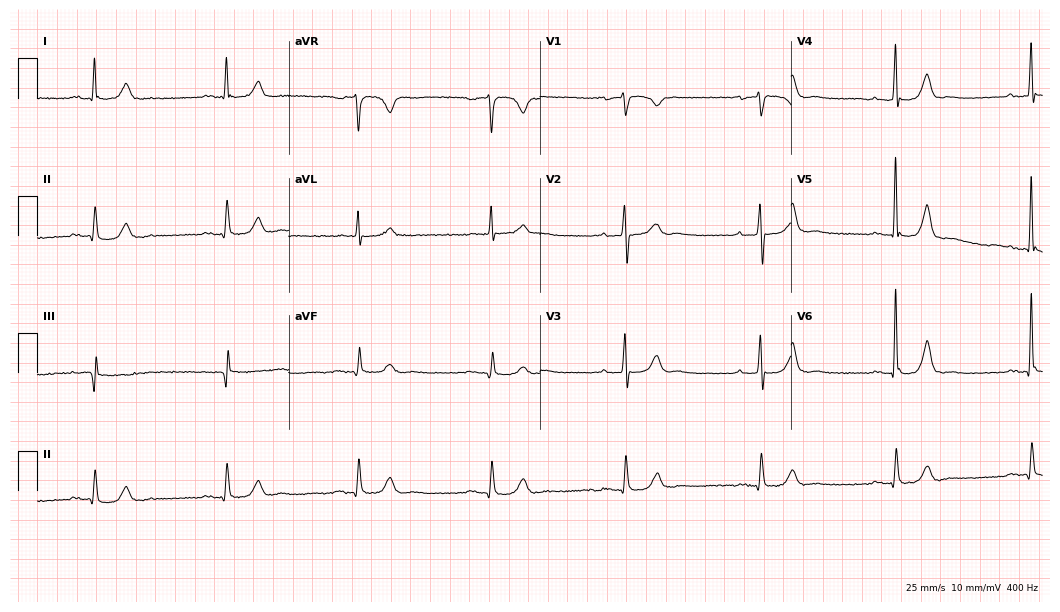
ECG (10.2-second recording at 400 Hz) — an 81-year-old man. Findings include sinus bradycardia (a sinus rate of 50 beats per minute or less).